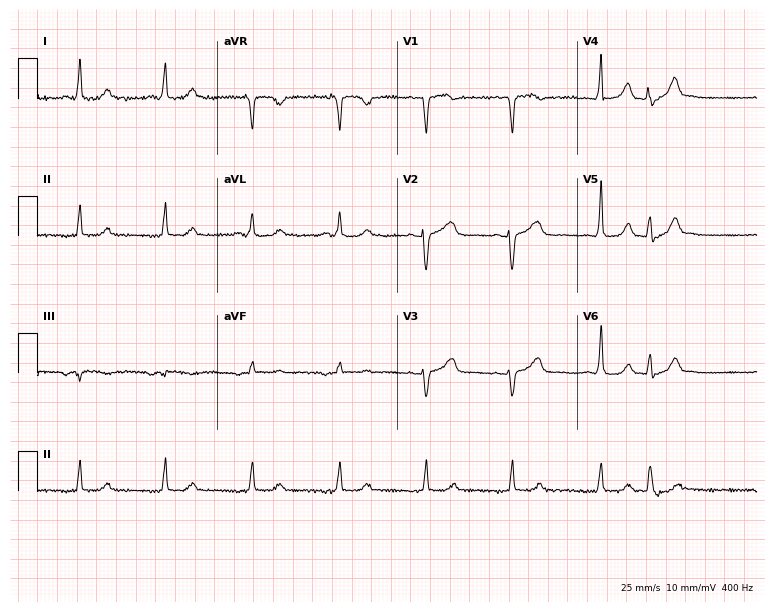
12-lead ECG from an 80-year-old female patient. Recorded interpretation: within normal limits.